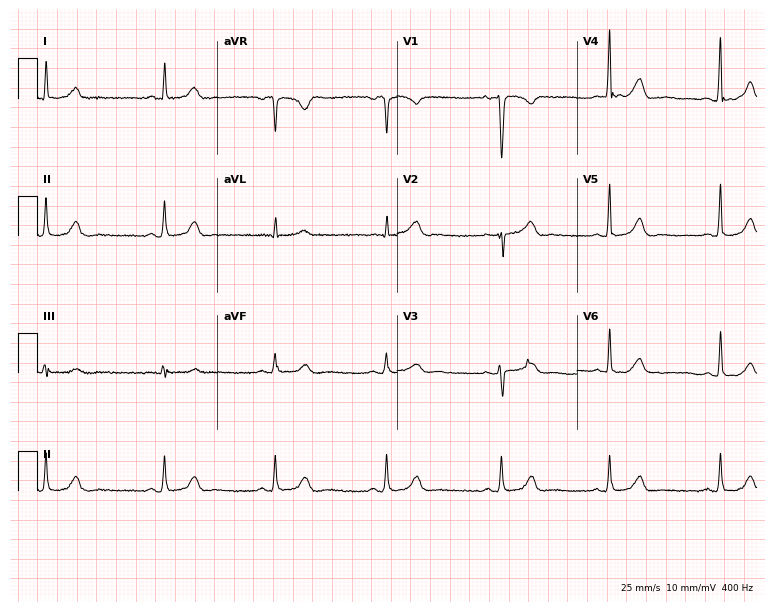
12-lead ECG from a 32-year-old female (7.3-second recording at 400 Hz). Recorded interpretation: within normal limits.